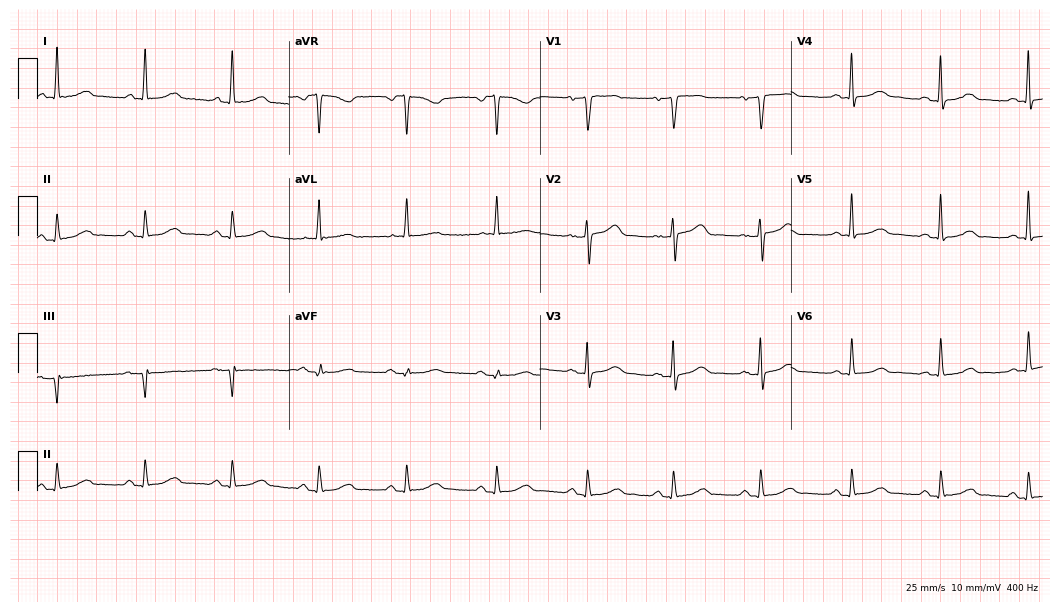
12-lead ECG from a woman, 73 years old. Recorded interpretation: within normal limits.